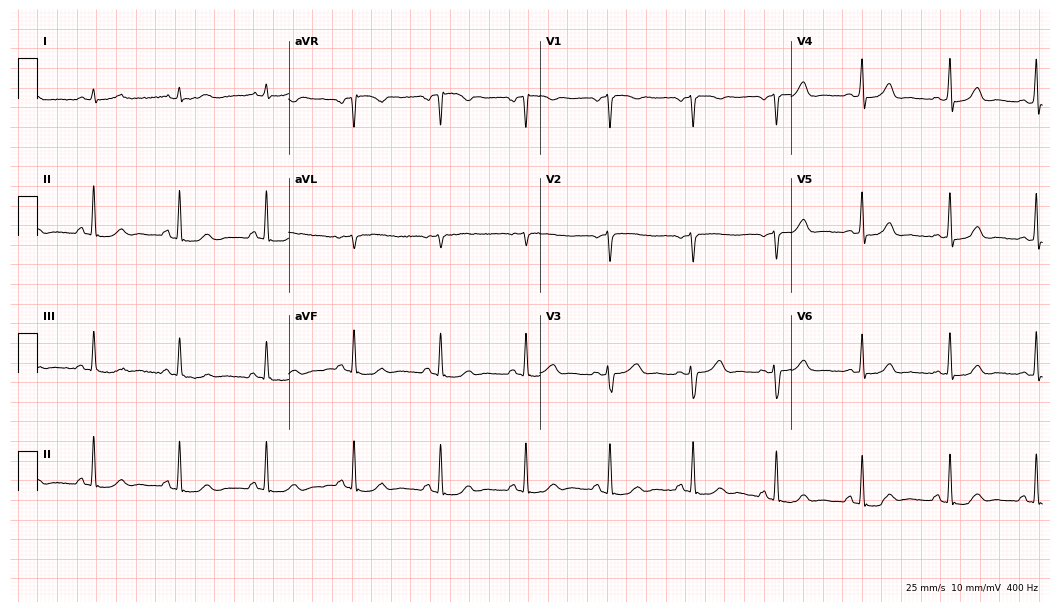
Resting 12-lead electrocardiogram. Patient: a 54-year-old female. Read as a normal ECG.